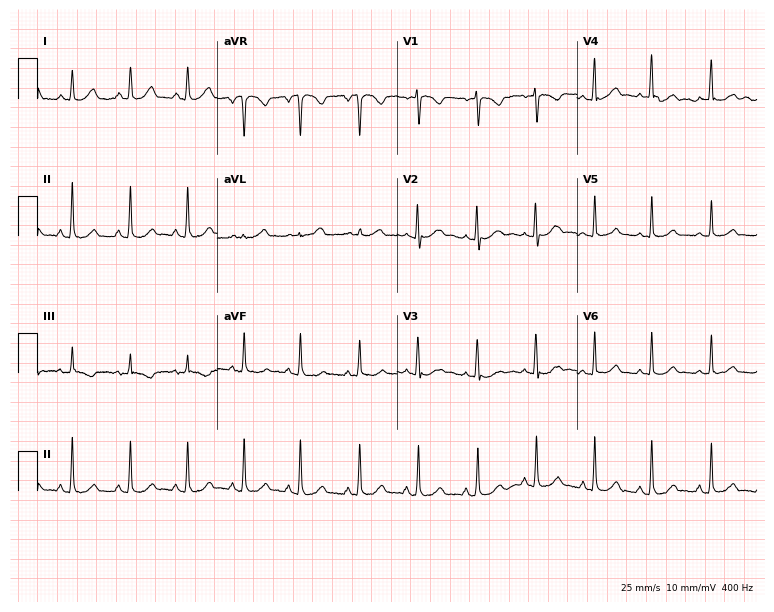
12-lead ECG from an 18-year-old woman (7.3-second recording at 400 Hz). Recorded interpretation: within normal limits.